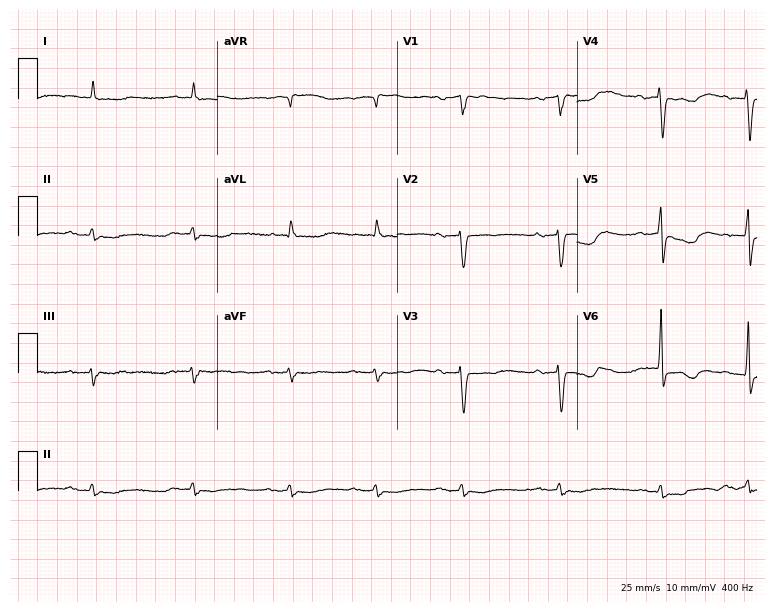
12-lead ECG from a male, 80 years old. Screened for six findings — first-degree AV block, right bundle branch block, left bundle branch block, sinus bradycardia, atrial fibrillation, sinus tachycardia — none is recorded.